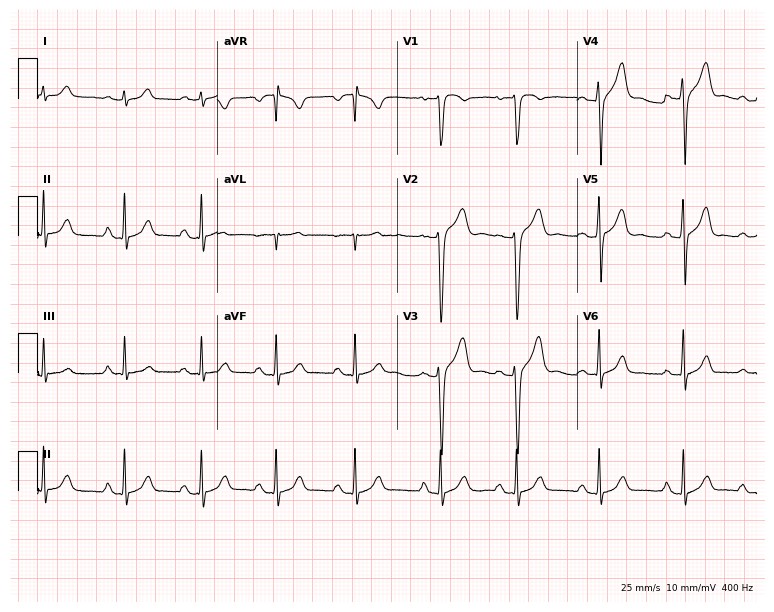
Standard 12-lead ECG recorded from a man, 41 years old (7.3-second recording at 400 Hz). None of these six findings is recorded: first-degree AV block, right bundle branch block (RBBB), left bundle branch block (LBBB), sinus bradycardia, atrial fibrillation (AF), sinus tachycardia.